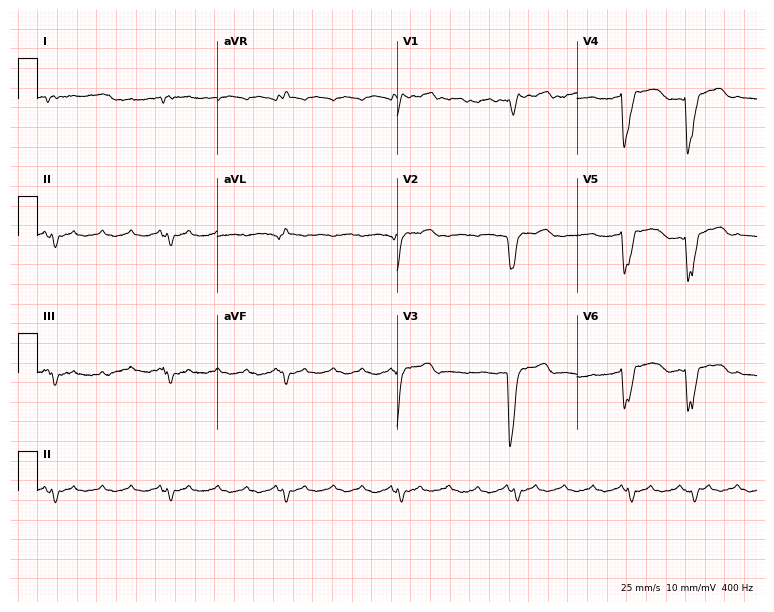
Standard 12-lead ECG recorded from a 66-year-old male patient. None of these six findings is recorded: first-degree AV block, right bundle branch block (RBBB), left bundle branch block (LBBB), sinus bradycardia, atrial fibrillation (AF), sinus tachycardia. Other findings, if any, are not listed.